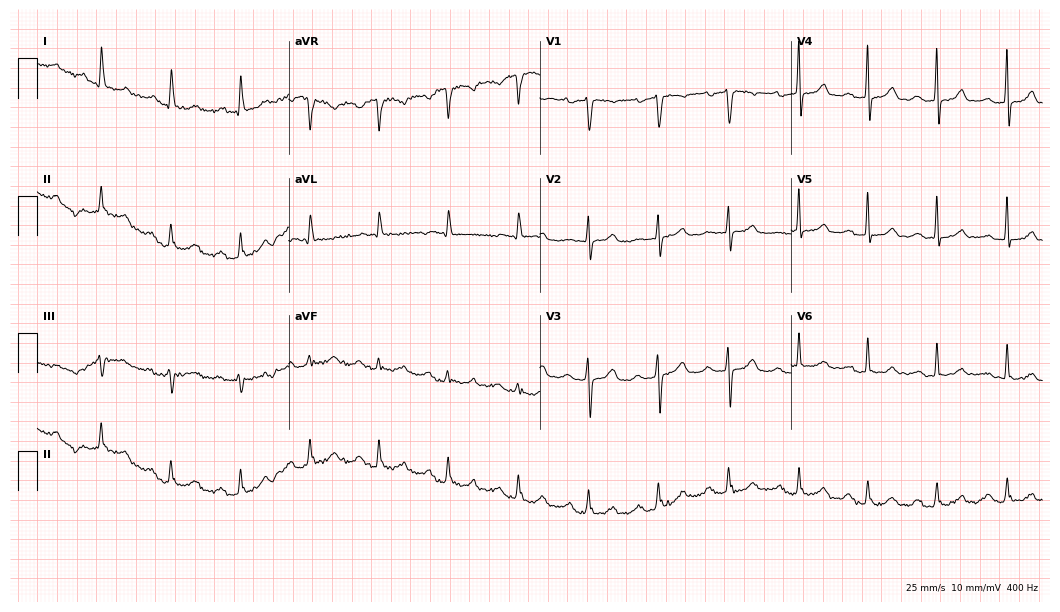
12-lead ECG from a female patient, 71 years old (10.2-second recording at 400 Hz). Shows first-degree AV block.